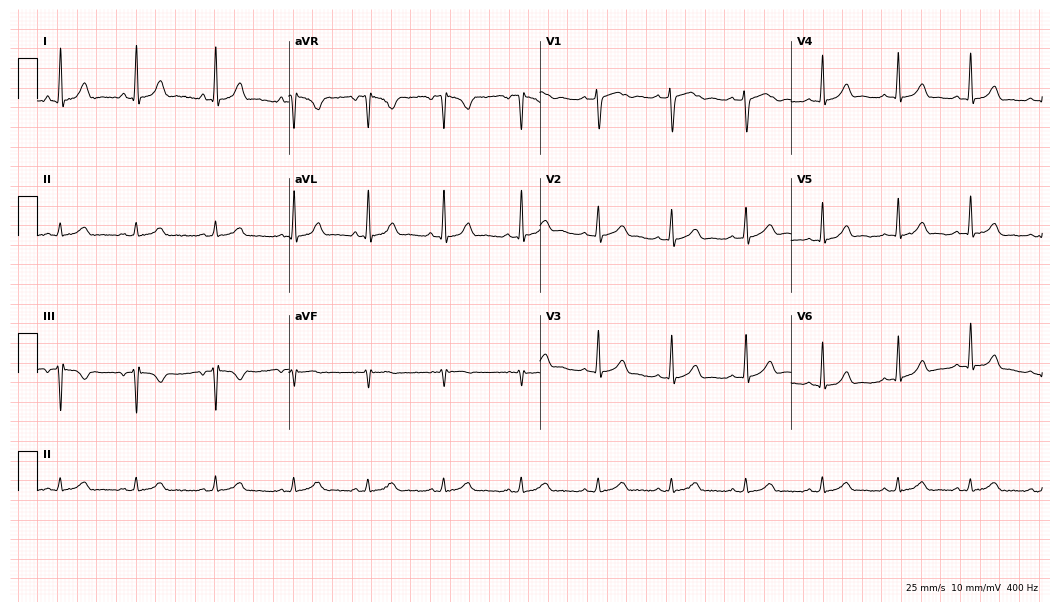
Electrocardiogram (10.2-second recording at 400 Hz), a 23-year-old female patient. Overall reading on record: normal ECG.